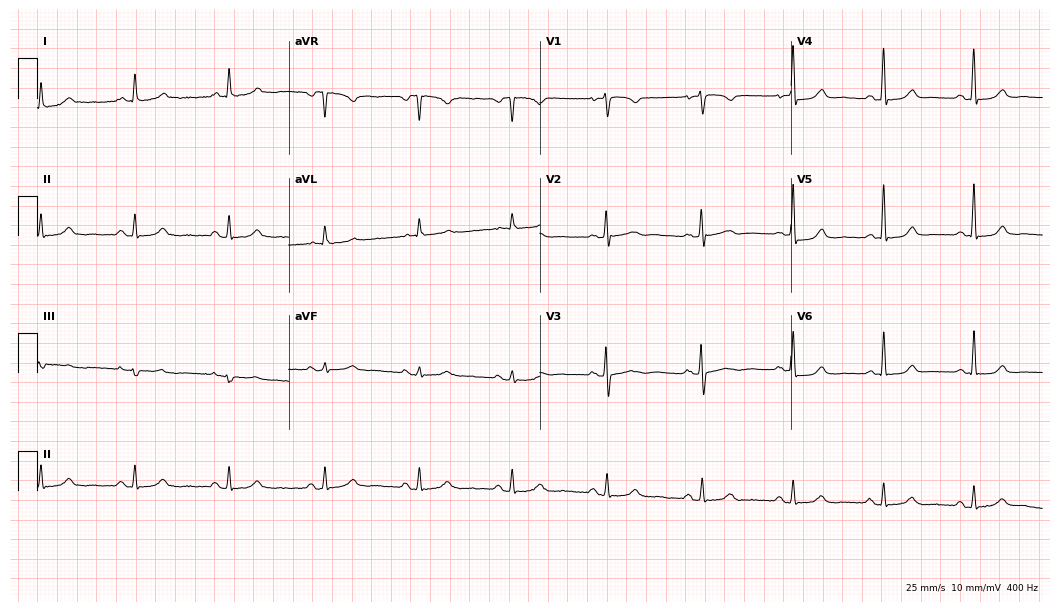
Resting 12-lead electrocardiogram (10.2-second recording at 400 Hz). Patient: a female, 61 years old. Read as a normal ECG.